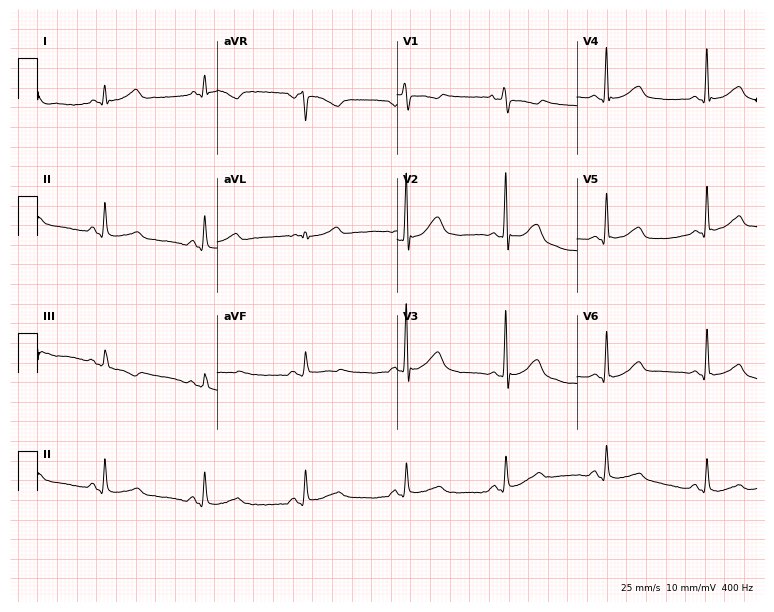
ECG — a man, 56 years old. Screened for six findings — first-degree AV block, right bundle branch block (RBBB), left bundle branch block (LBBB), sinus bradycardia, atrial fibrillation (AF), sinus tachycardia — none is recorded.